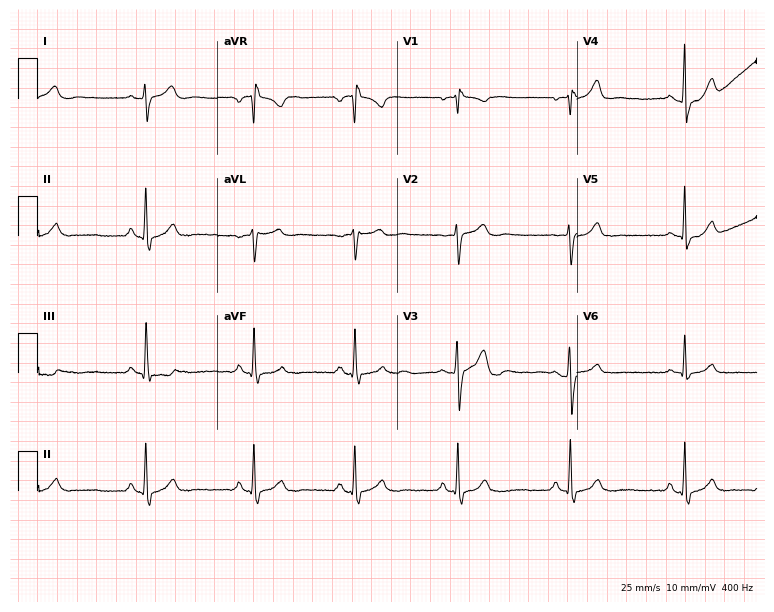
12-lead ECG (7.3-second recording at 400 Hz) from a 38-year-old male. Screened for six findings — first-degree AV block, right bundle branch block, left bundle branch block, sinus bradycardia, atrial fibrillation, sinus tachycardia — none is recorded.